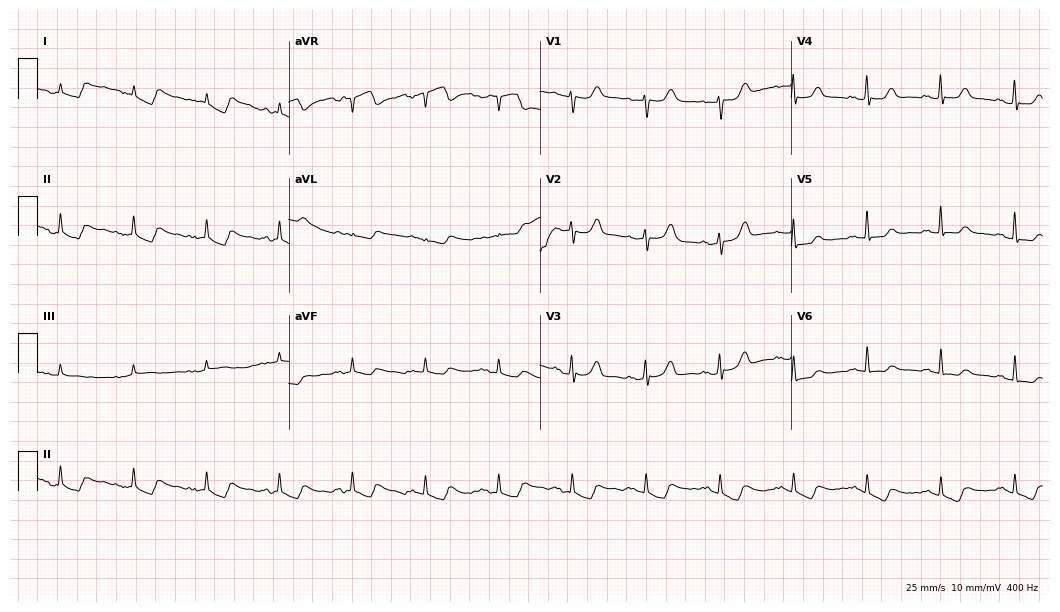
Standard 12-lead ECG recorded from a 63-year-old female. None of these six findings is recorded: first-degree AV block, right bundle branch block (RBBB), left bundle branch block (LBBB), sinus bradycardia, atrial fibrillation (AF), sinus tachycardia.